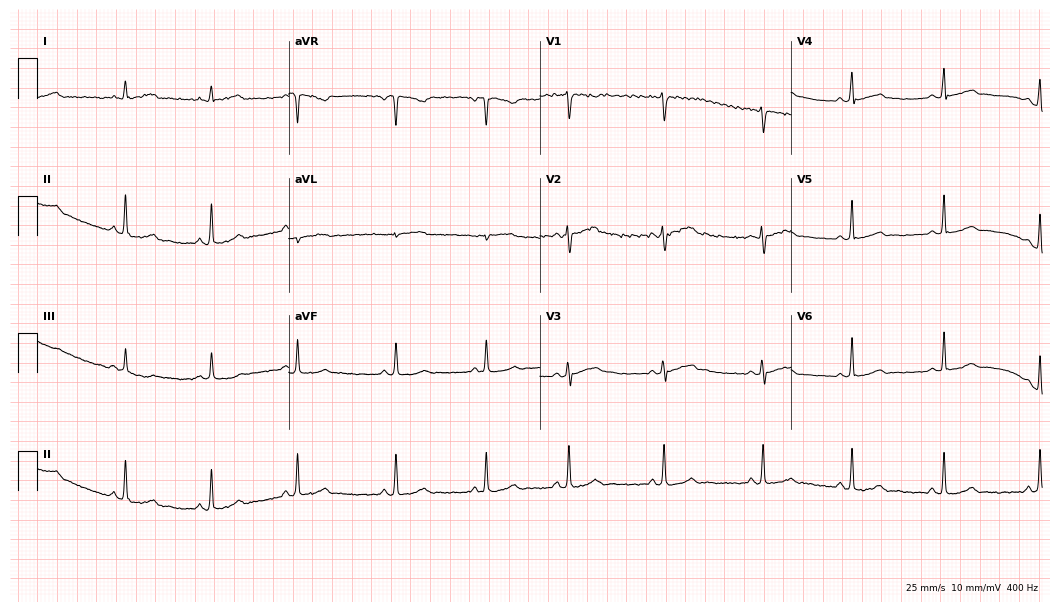
Electrocardiogram, a 19-year-old woman. Of the six screened findings (first-degree AV block, right bundle branch block (RBBB), left bundle branch block (LBBB), sinus bradycardia, atrial fibrillation (AF), sinus tachycardia), none is recorded. Other findings, if any, are not listed.